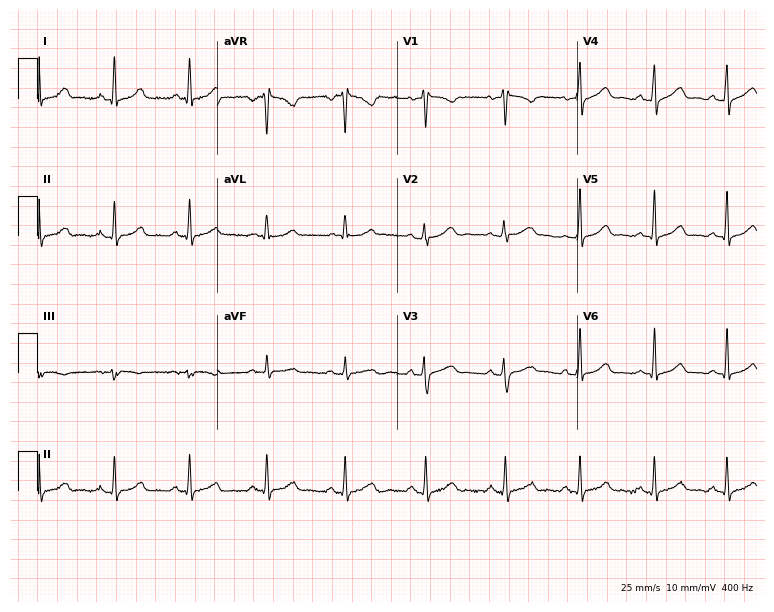
Electrocardiogram, a 33-year-old female patient. Overall reading on record: normal ECG.